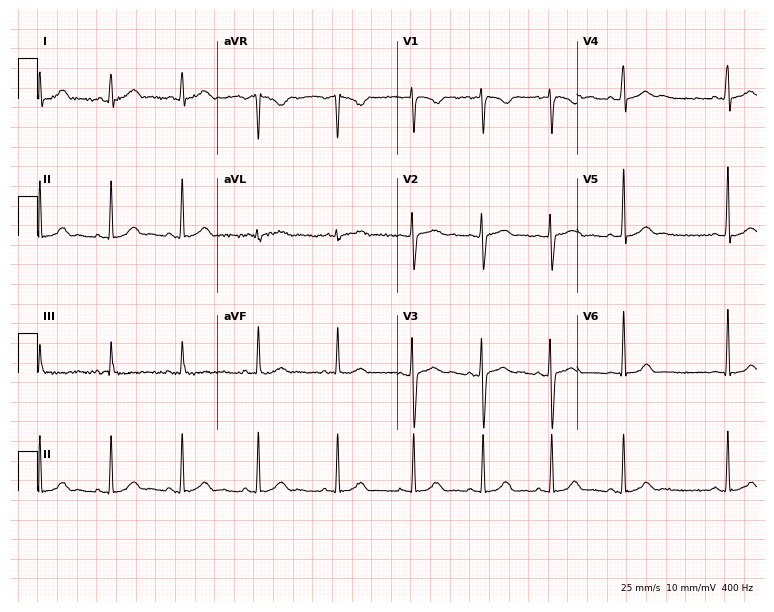
Resting 12-lead electrocardiogram (7.3-second recording at 400 Hz). Patient: a female, 30 years old. Read as a normal ECG.